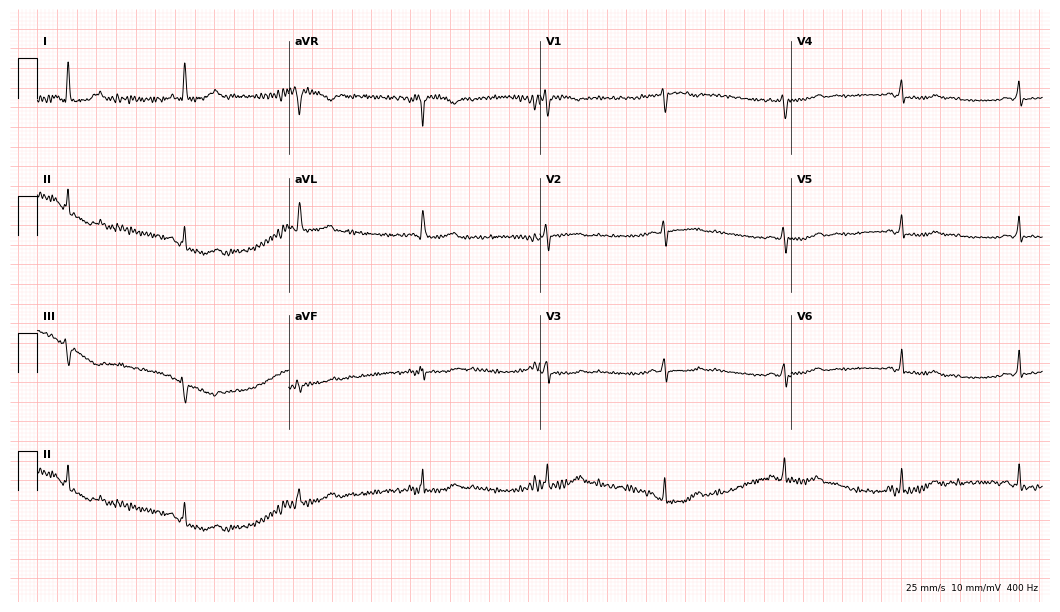
Standard 12-lead ECG recorded from a 65-year-old female (10.2-second recording at 400 Hz). The tracing shows sinus bradycardia (a sinus rate of 50 beats per minute or less).